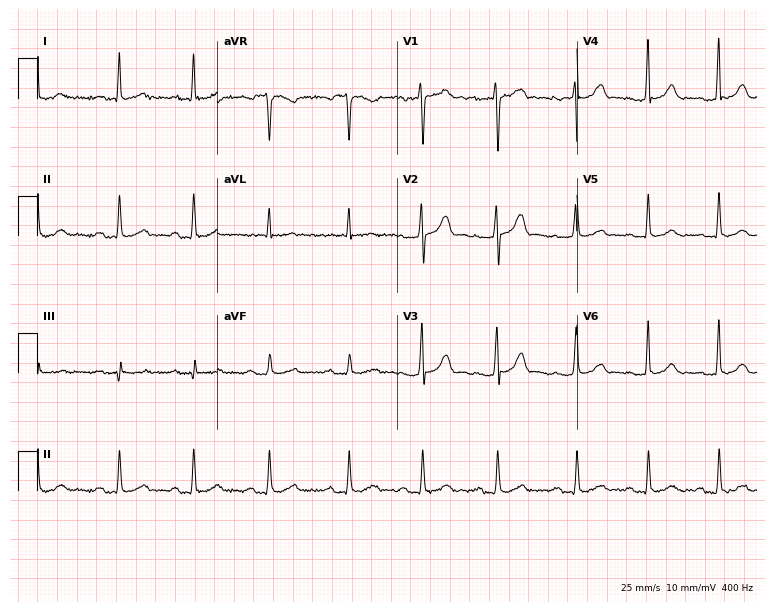
Resting 12-lead electrocardiogram (7.3-second recording at 400 Hz). Patient: a 22-year-old female. The tracing shows first-degree AV block.